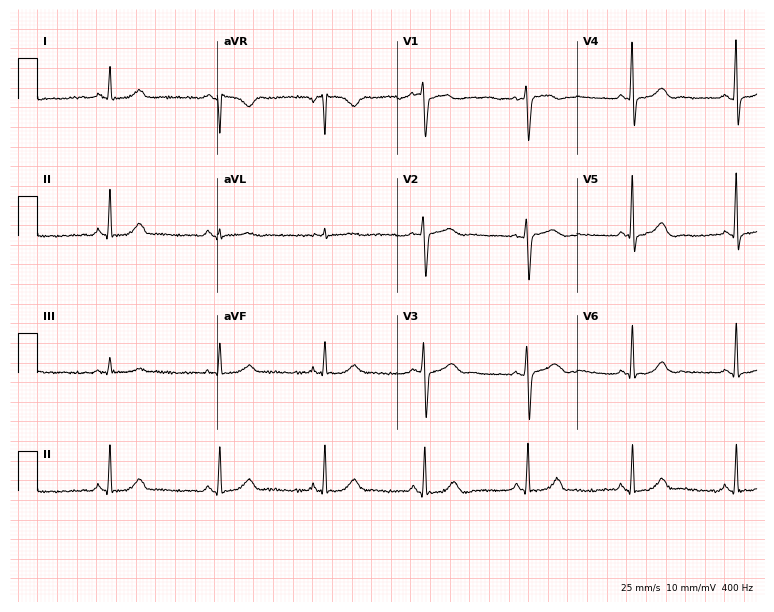
Electrocardiogram, a 37-year-old woman. Of the six screened findings (first-degree AV block, right bundle branch block, left bundle branch block, sinus bradycardia, atrial fibrillation, sinus tachycardia), none is recorded.